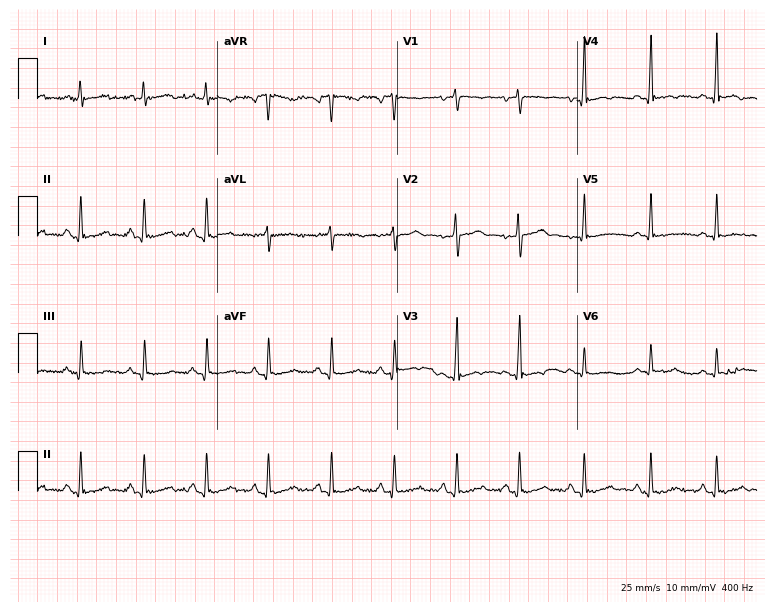
12-lead ECG from a female patient, 50 years old (7.3-second recording at 400 Hz). No first-degree AV block, right bundle branch block, left bundle branch block, sinus bradycardia, atrial fibrillation or sinus tachycardia recorded for this tracing. Only these six findings were labelled.